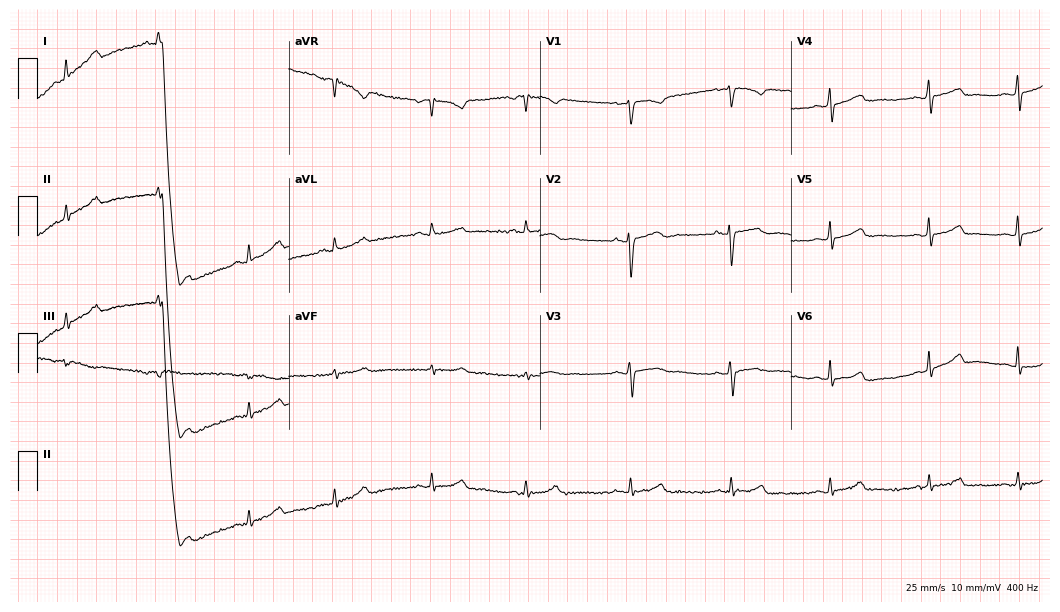
ECG — a female, 24 years old. Labelled as a normal ECG.